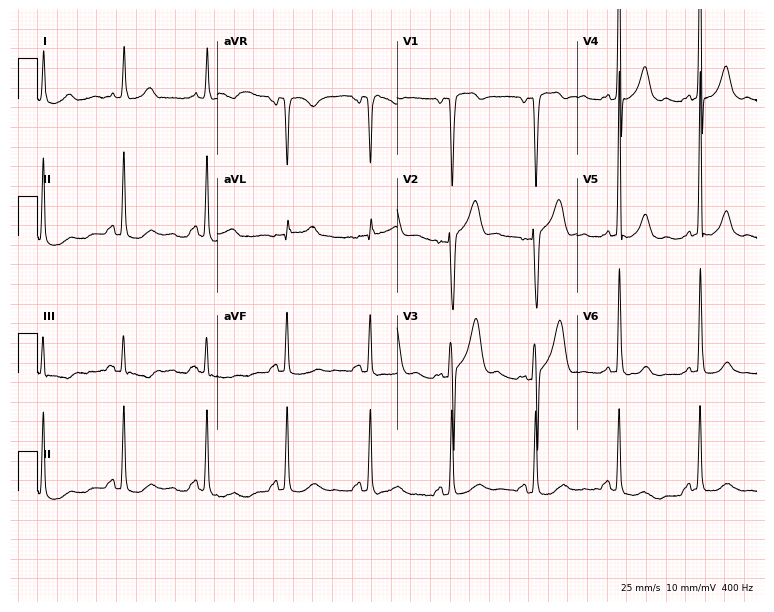
Electrocardiogram (7.3-second recording at 400 Hz), a male, 45 years old. Overall reading on record: normal ECG.